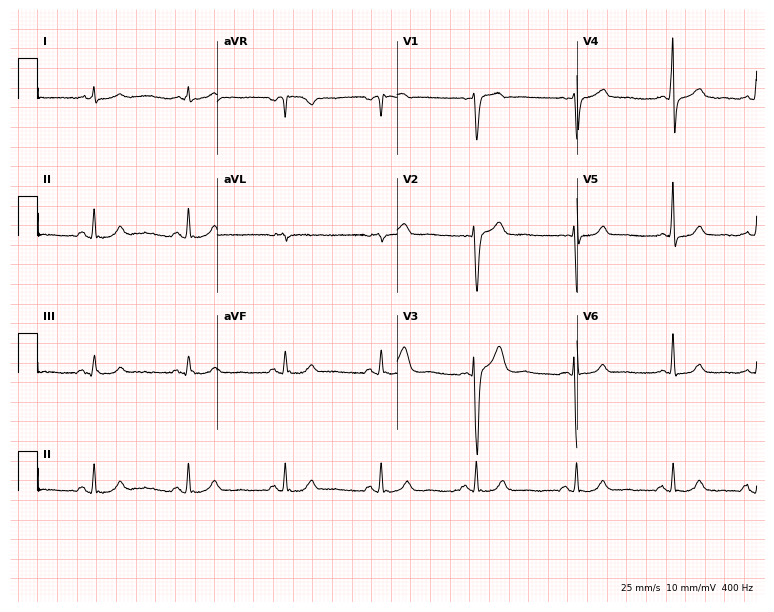
Electrocardiogram (7.3-second recording at 400 Hz), a male patient, 58 years old. Overall reading on record: normal ECG.